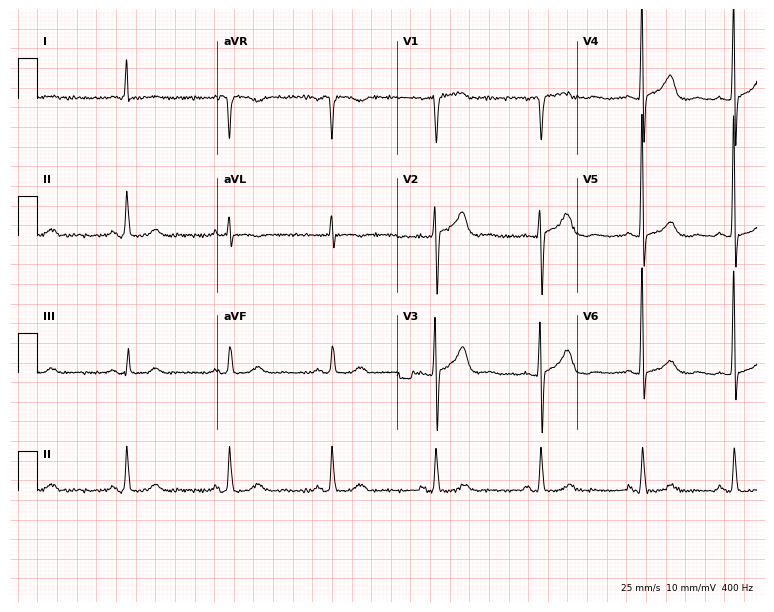
ECG — a 77-year-old male patient. Screened for six findings — first-degree AV block, right bundle branch block, left bundle branch block, sinus bradycardia, atrial fibrillation, sinus tachycardia — none is recorded.